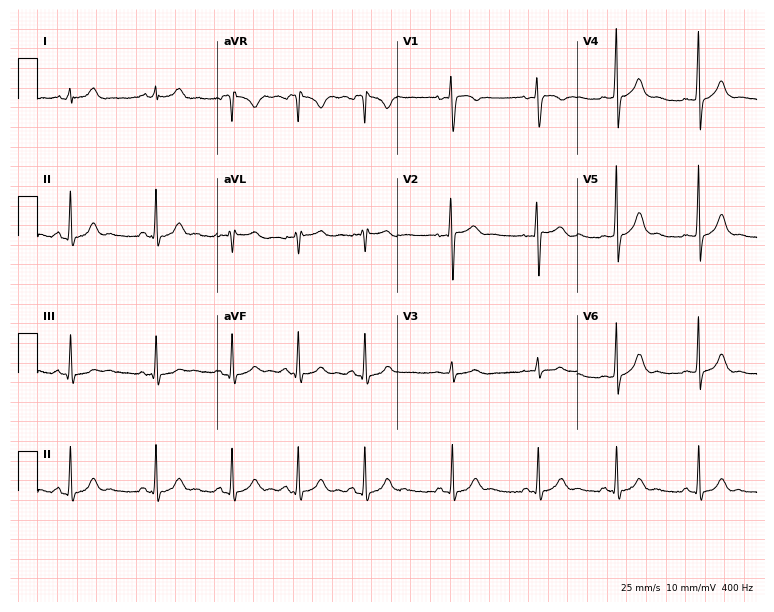
Electrocardiogram (7.3-second recording at 400 Hz), a 19-year-old female patient. Overall reading on record: normal ECG.